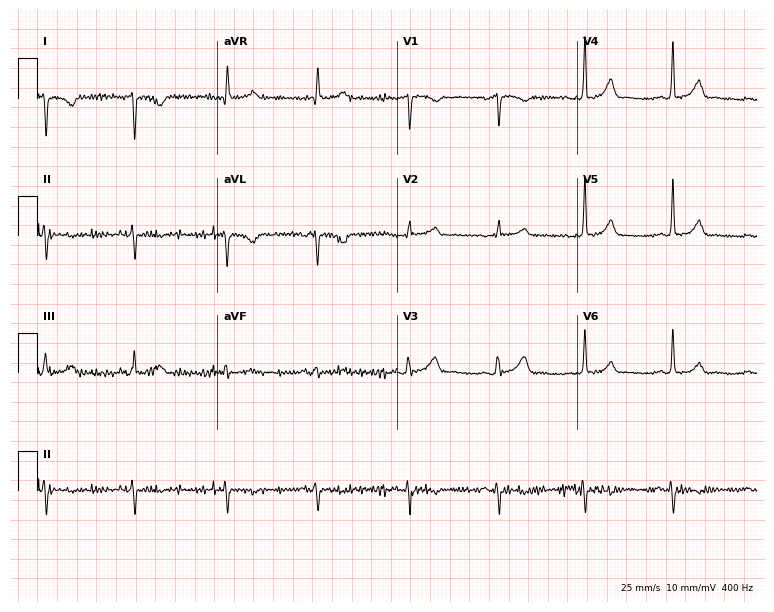
Electrocardiogram, a woman, 59 years old. Of the six screened findings (first-degree AV block, right bundle branch block (RBBB), left bundle branch block (LBBB), sinus bradycardia, atrial fibrillation (AF), sinus tachycardia), none is recorded.